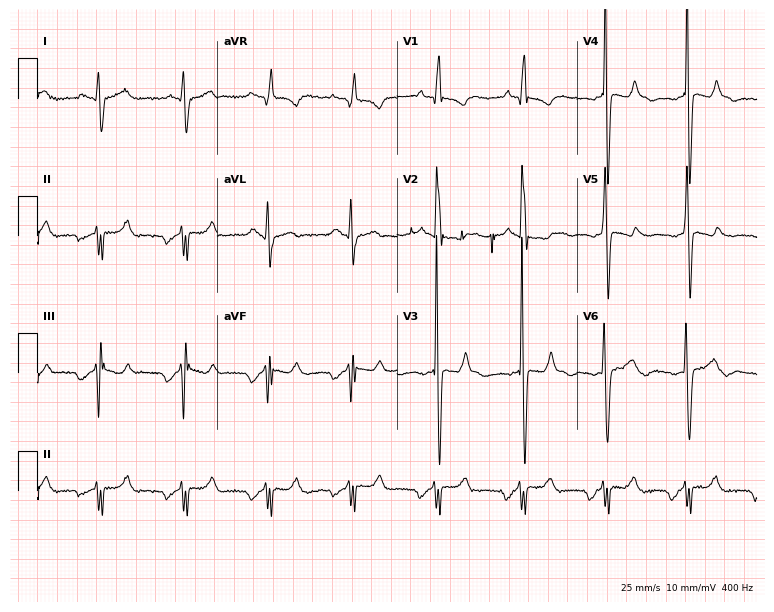
12-lead ECG from a 33-year-old female patient (7.3-second recording at 400 Hz). No first-degree AV block, right bundle branch block, left bundle branch block, sinus bradycardia, atrial fibrillation or sinus tachycardia recorded for this tracing.